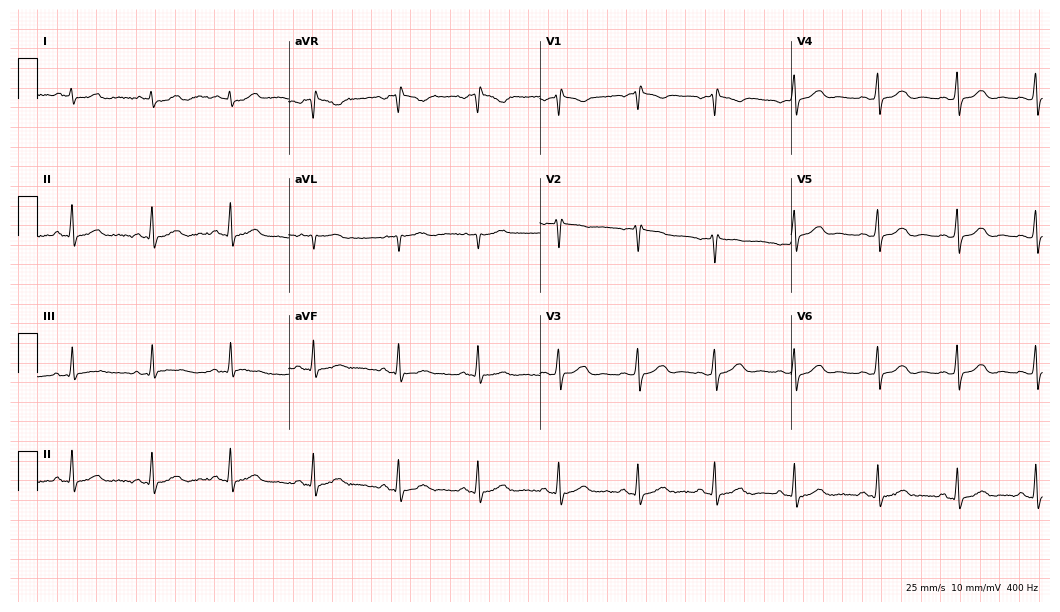
ECG — a woman, 38 years old. Screened for six findings — first-degree AV block, right bundle branch block, left bundle branch block, sinus bradycardia, atrial fibrillation, sinus tachycardia — none is recorded. Other findings, if any, are not listed.